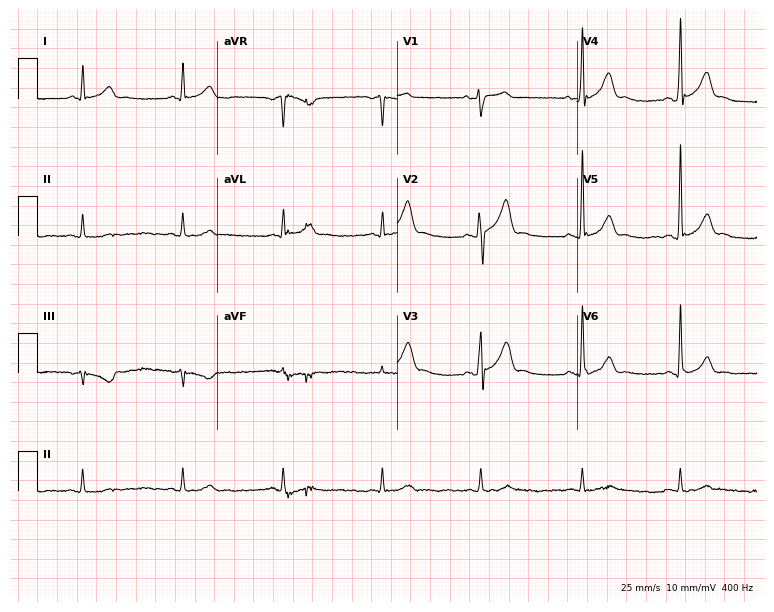
Resting 12-lead electrocardiogram (7.3-second recording at 400 Hz). Patient: a man, 66 years old. None of these six findings is recorded: first-degree AV block, right bundle branch block (RBBB), left bundle branch block (LBBB), sinus bradycardia, atrial fibrillation (AF), sinus tachycardia. Findings outside these six are not listed.